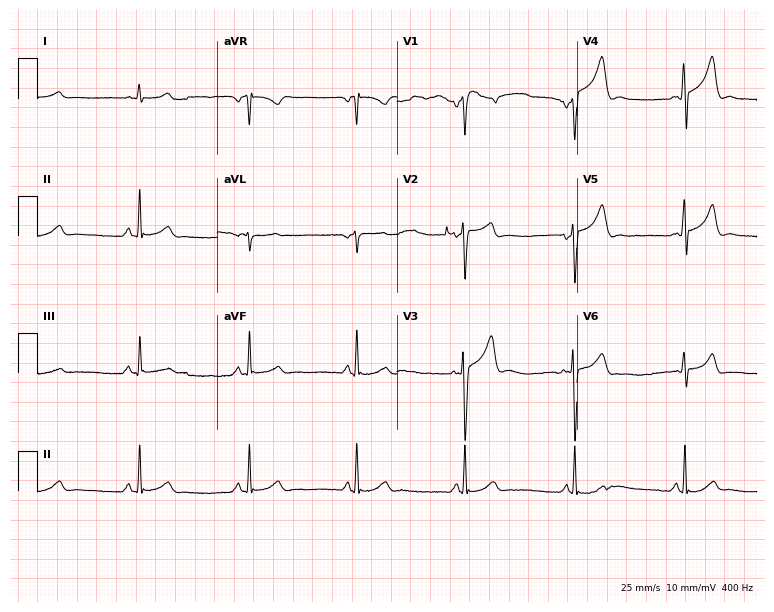
Standard 12-lead ECG recorded from a 40-year-old man (7.3-second recording at 400 Hz). None of these six findings is recorded: first-degree AV block, right bundle branch block (RBBB), left bundle branch block (LBBB), sinus bradycardia, atrial fibrillation (AF), sinus tachycardia. Only these six findings were labelled.